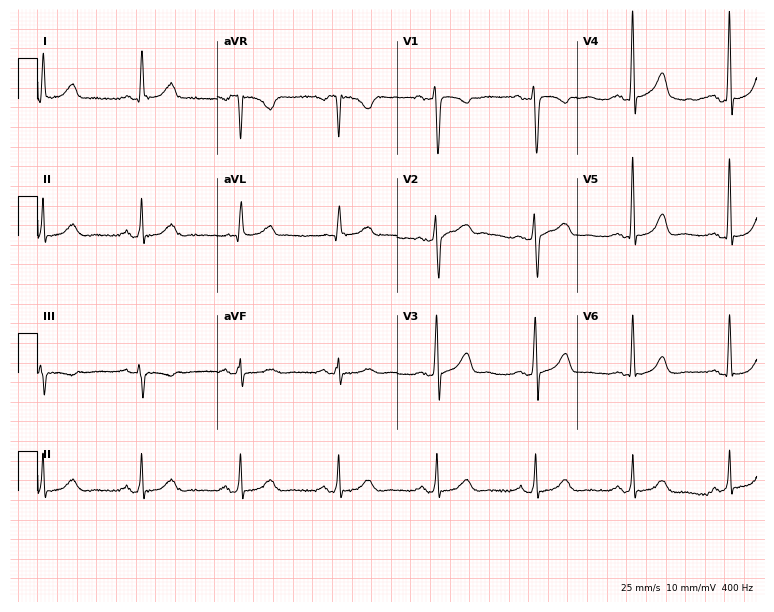
12-lead ECG from a male patient, 65 years old. Recorded interpretation: within normal limits.